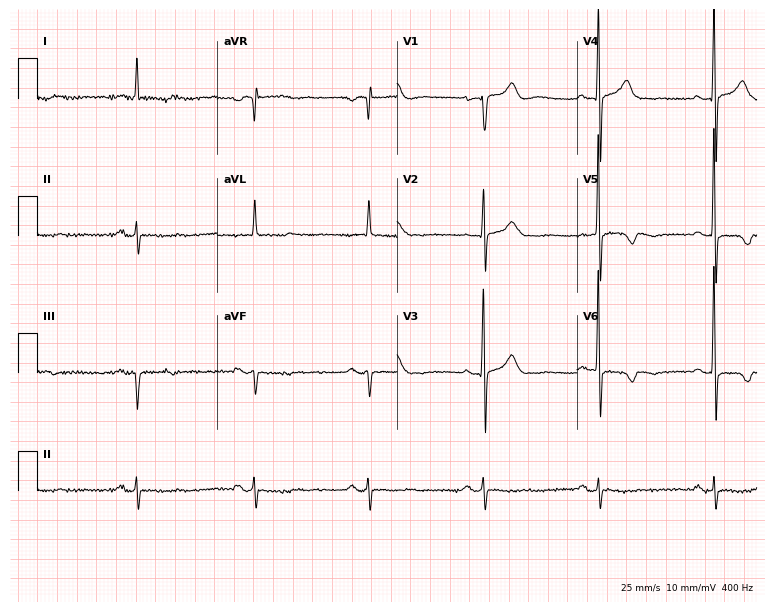
12-lead ECG from a 79-year-old male patient (7.3-second recording at 400 Hz). No first-degree AV block, right bundle branch block, left bundle branch block, sinus bradycardia, atrial fibrillation or sinus tachycardia recorded for this tracing. Other findings, if any, are not listed.